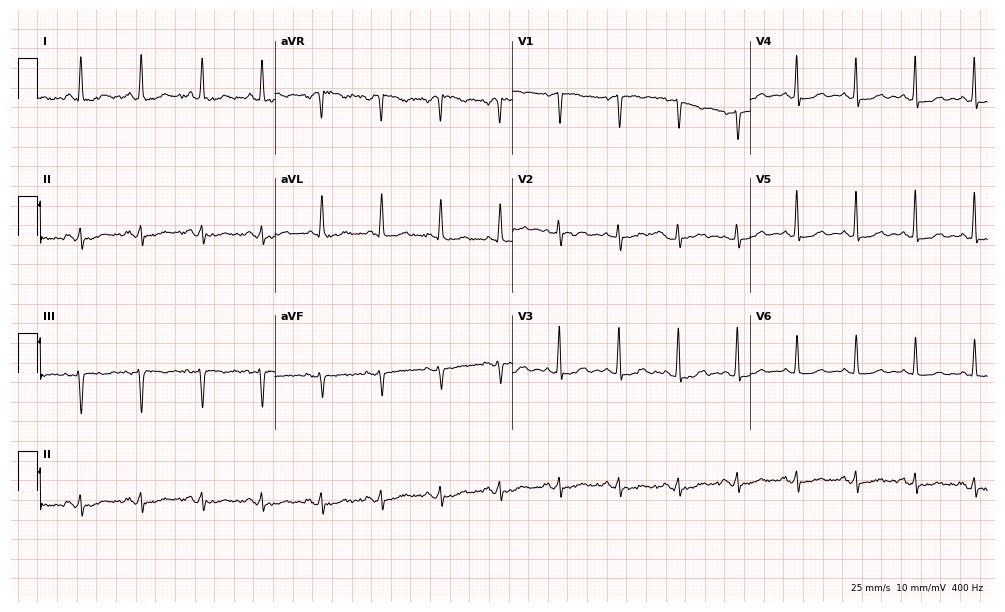
Electrocardiogram, a woman, 31 years old. Of the six screened findings (first-degree AV block, right bundle branch block (RBBB), left bundle branch block (LBBB), sinus bradycardia, atrial fibrillation (AF), sinus tachycardia), none is recorded. Findings outside these six are not listed.